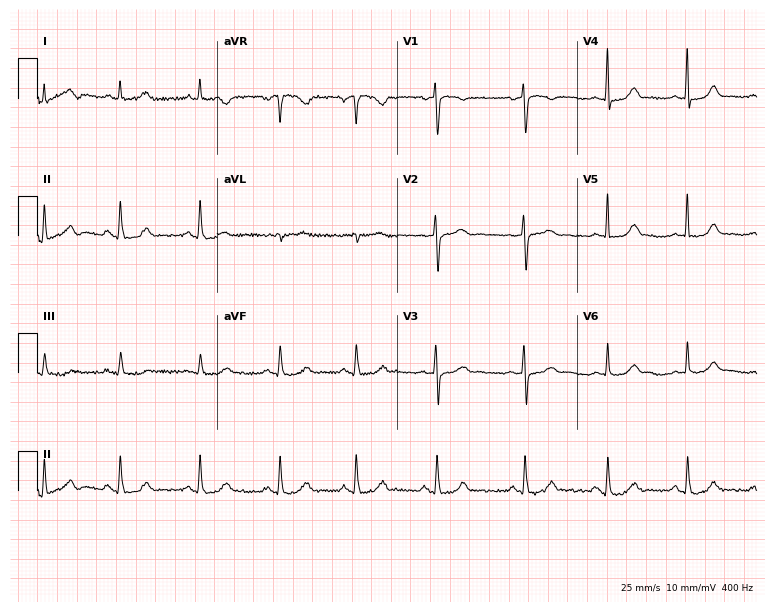
Resting 12-lead electrocardiogram. Patient: a 42-year-old female. Read as a normal ECG.